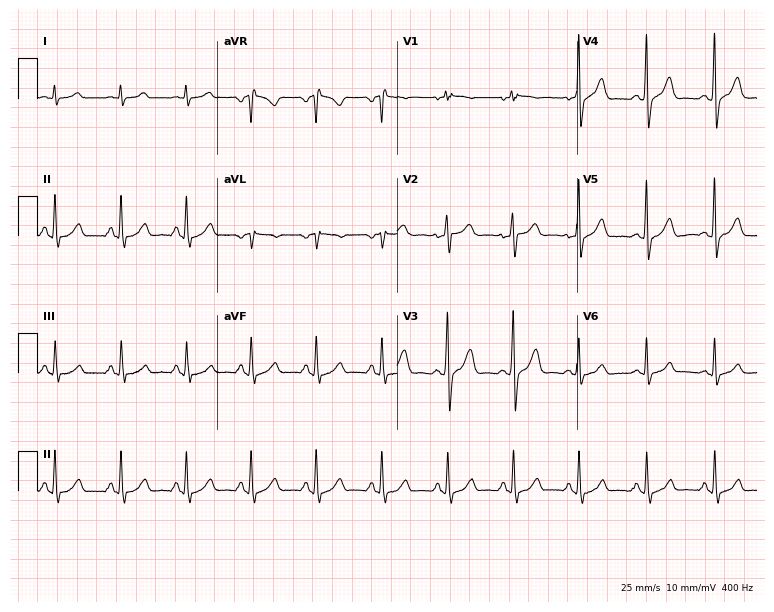
Standard 12-lead ECG recorded from a male, 54 years old. Read as a normal ECG.